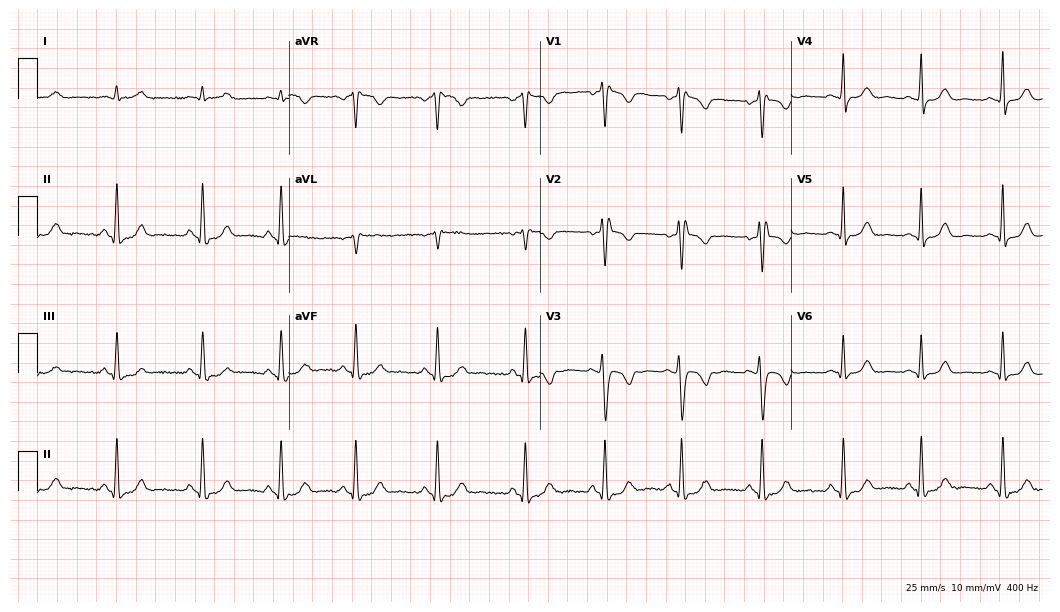
12-lead ECG from a 37-year-old female patient. No first-degree AV block, right bundle branch block, left bundle branch block, sinus bradycardia, atrial fibrillation or sinus tachycardia recorded for this tracing. Findings outside these six are not listed.